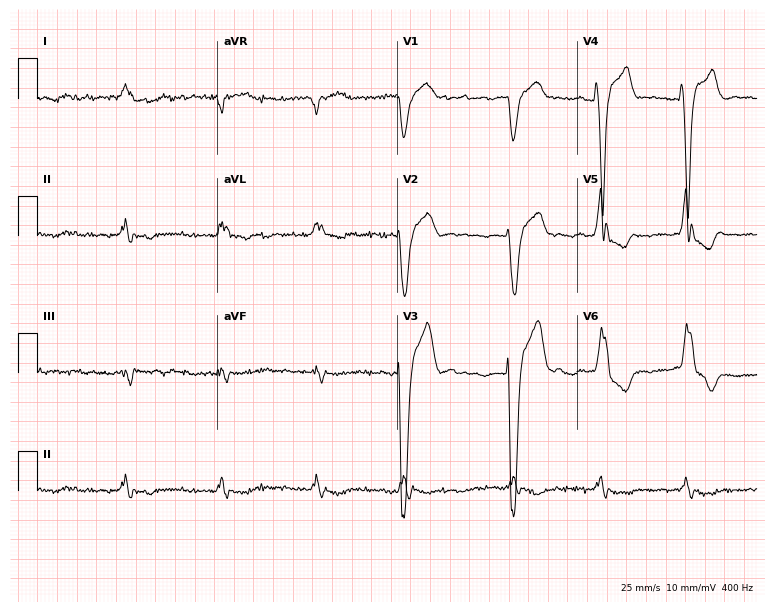
Electrocardiogram, a 62-year-old man. Interpretation includes left bundle branch block (LBBB), atrial fibrillation (AF).